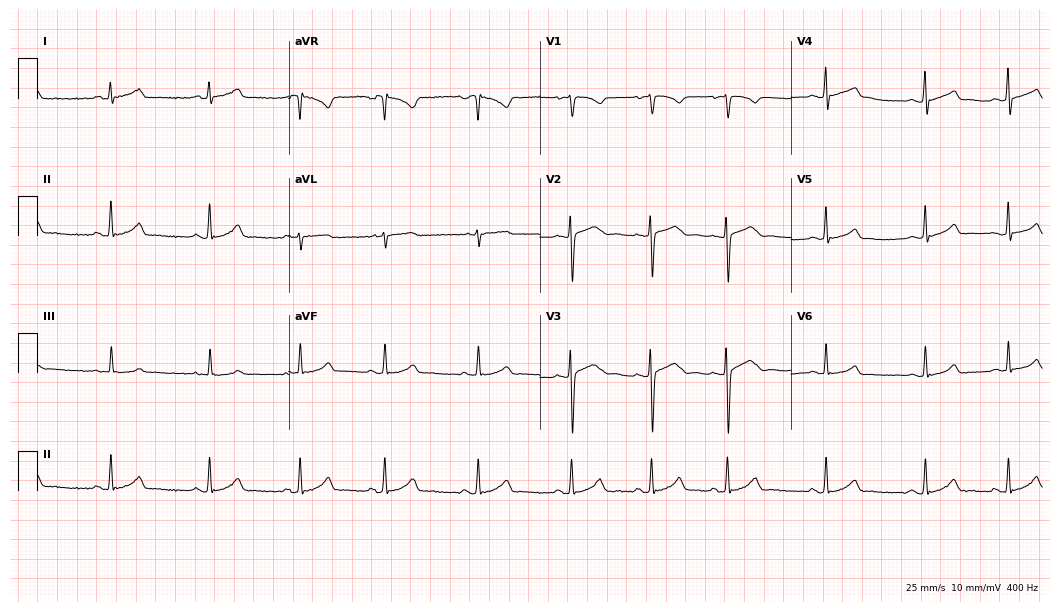
Resting 12-lead electrocardiogram (10.2-second recording at 400 Hz). Patient: a 19-year-old female. Read as a normal ECG.